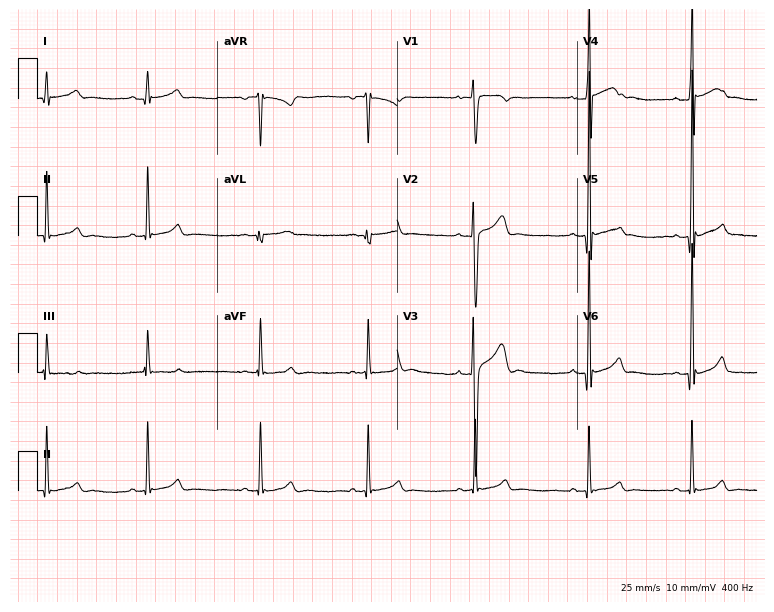
Electrocardiogram, an 18-year-old male. Overall reading on record: normal ECG.